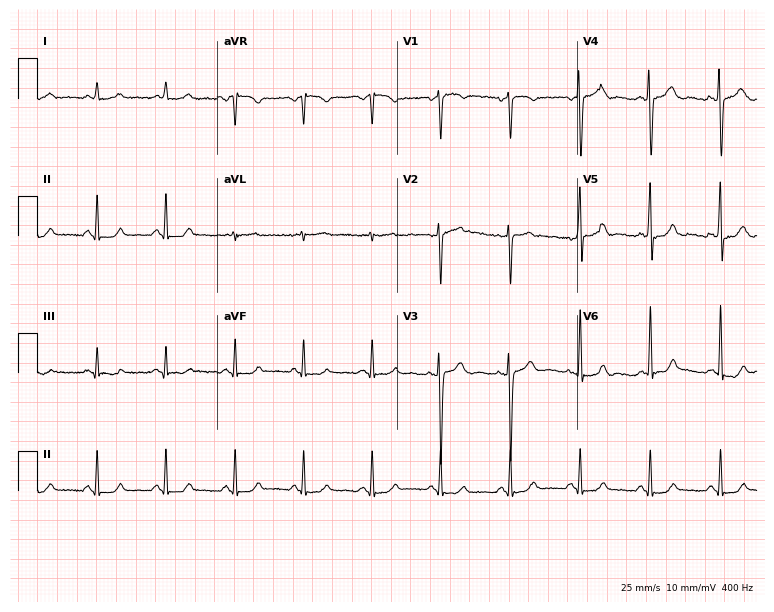
12-lead ECG from a 53-year-old male (7.3-second recording at 400 Hz). Recorded interpretation: within normal limits.